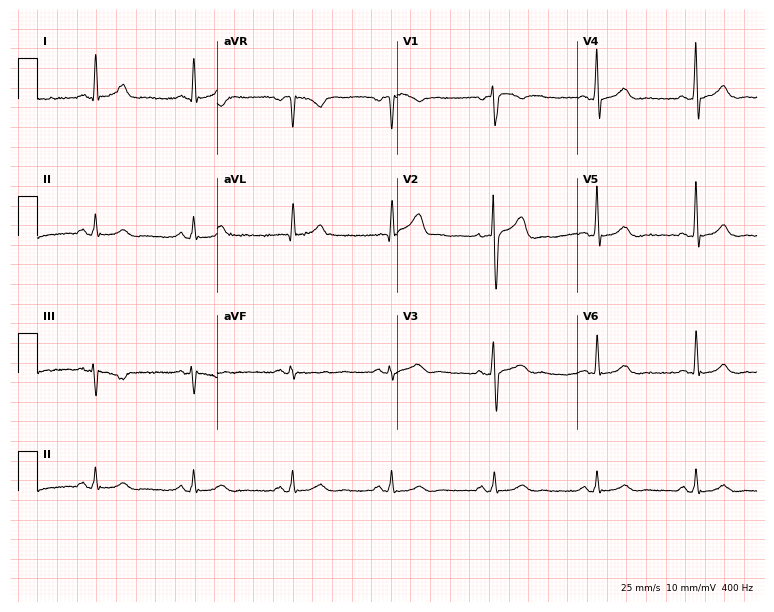
12-lead ECG from a male, 50 years old. Labelled as a normal ECG.